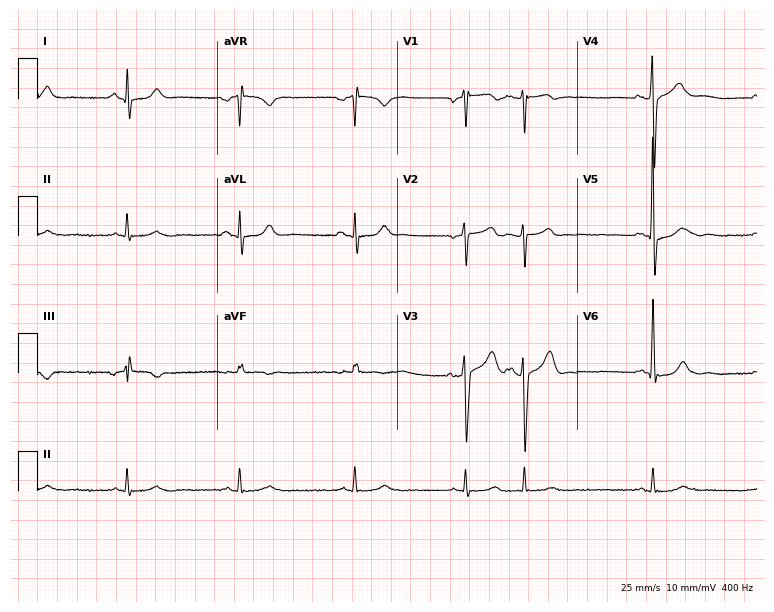
12-lead ECG from a 68-year-old man. Recorded interpretation: within normal limits.